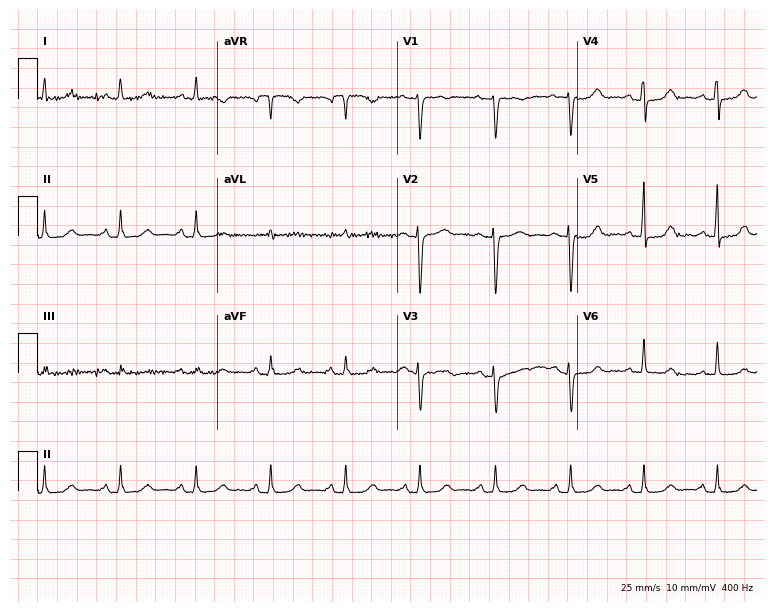
Resting 12-lead electrocardiogram. Patient: a female, 61 years old. None of these six findings is recorded: first-degree AV block, right bundle branch block, left bundle branch block, sinus bradycardia, atrial fibrillation, sinus tachycardia. Only these six findings were labelled.